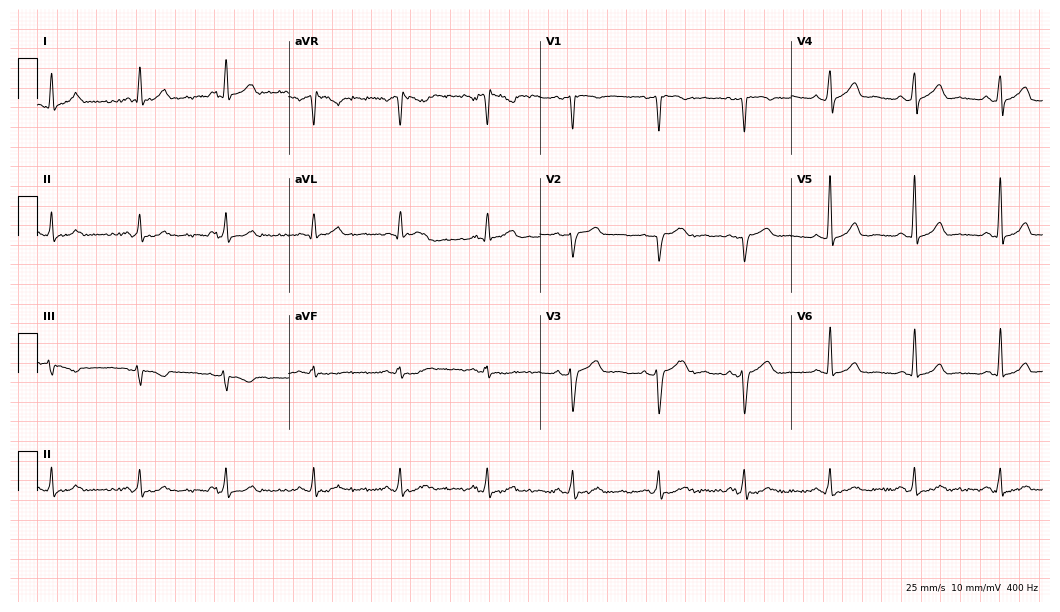
Standard 12-lead ECG recorded from a female patient, 47 years old. None of these six findings is recorded: first-degree AV block, right bundle branch block, left bundle branch block, sinus bradycardia, atrial fibrillation, sinus tachycardia. Findings outside these six are not listed.